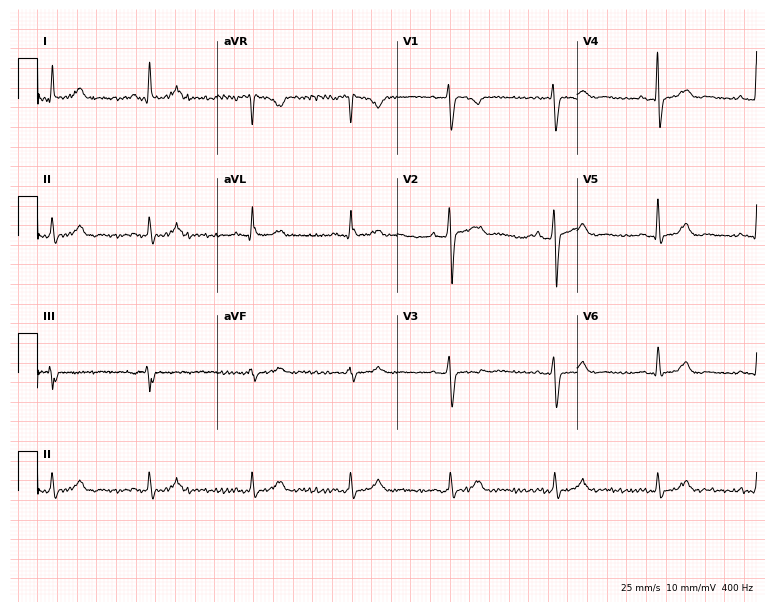
ECG — a man, 33 years old. Screened for six findings — first-degree AV block, right bundle branch block (RBBB), left bundle branch block (LBBB), sinus bradycardia, atrial fibrillation (AF), sinus tachycardia — none is recorded.